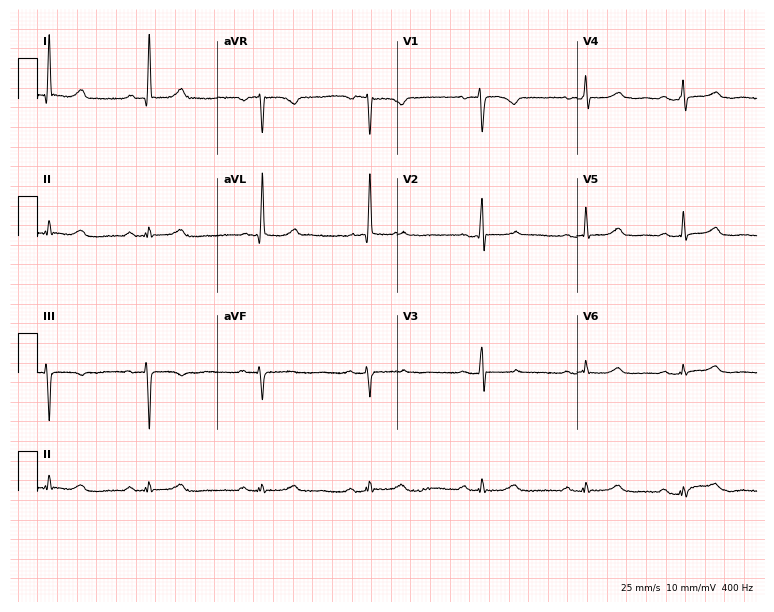
12-lead ECG from a female patient, 74 years old. Labelled as a normal ECG.